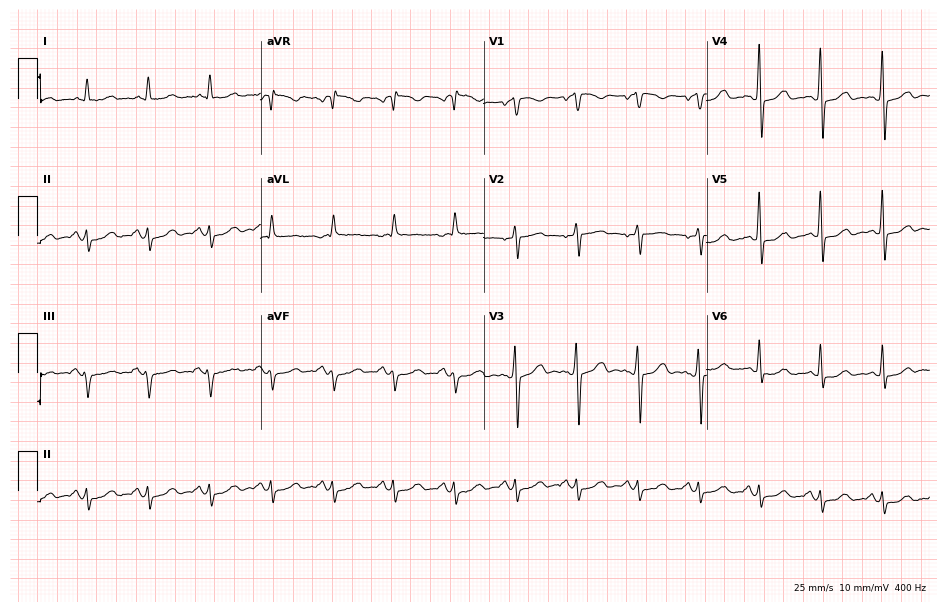
Standard 12-lead ECG recorded from a male patient, 78 years old (9.1-second recording at 400 Hz). None of these six findings is recorded: first-degree AV block, right bundle branch block, left bundle branch block, sinus bradycardia, atrial fibrillation, sinus tachycardia. Other findings, if any, are not listed.